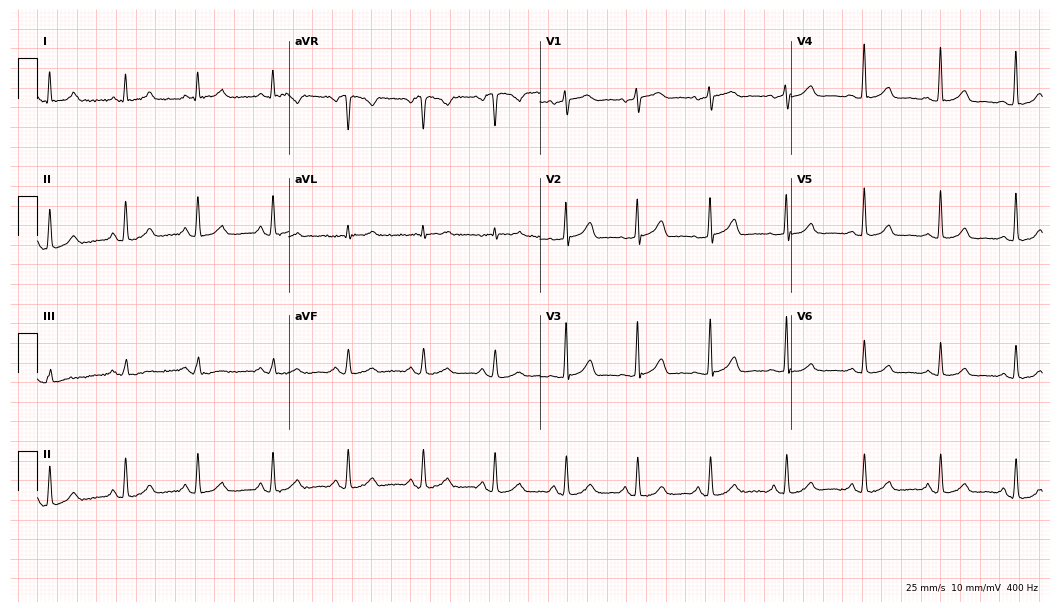
12-lead ECG (10.2-second recording at 400 Hz) from a 70-year-old woman. Screened for six findings — first-degree AV block, right bundle branch block, left bundle branch block, sinus bradycardia, atrial fibrillation, sinus tachycardia — none is recorded. Findings outside these six are not listed.